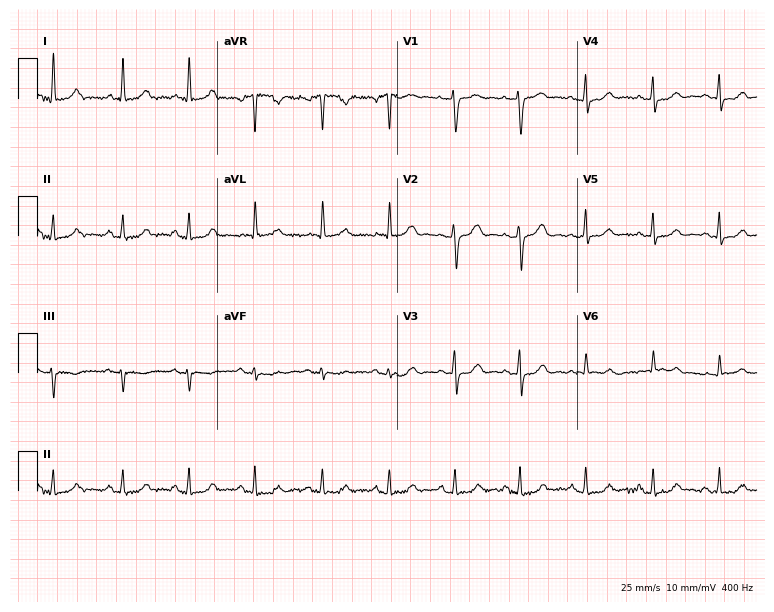
ECG (7.3-second recording at 400 Hz) — a 71-year-old female patient. Labelled as a normal ECG.